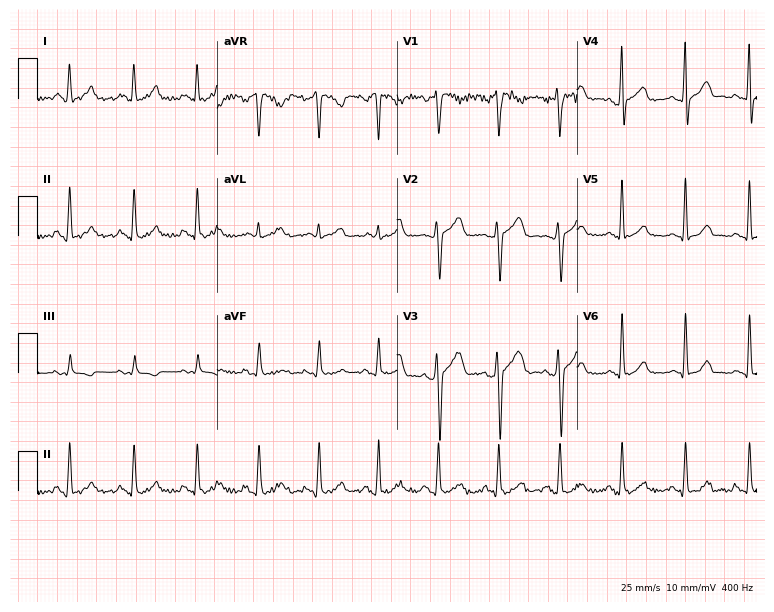
12-lead ECG from a 30-year-old male patient. No first-degree AV block, right bundle branch block, left bundle branch block, sinus bradycardia, atrial fibrillation or sinus tachycardia recorded for this tracing.